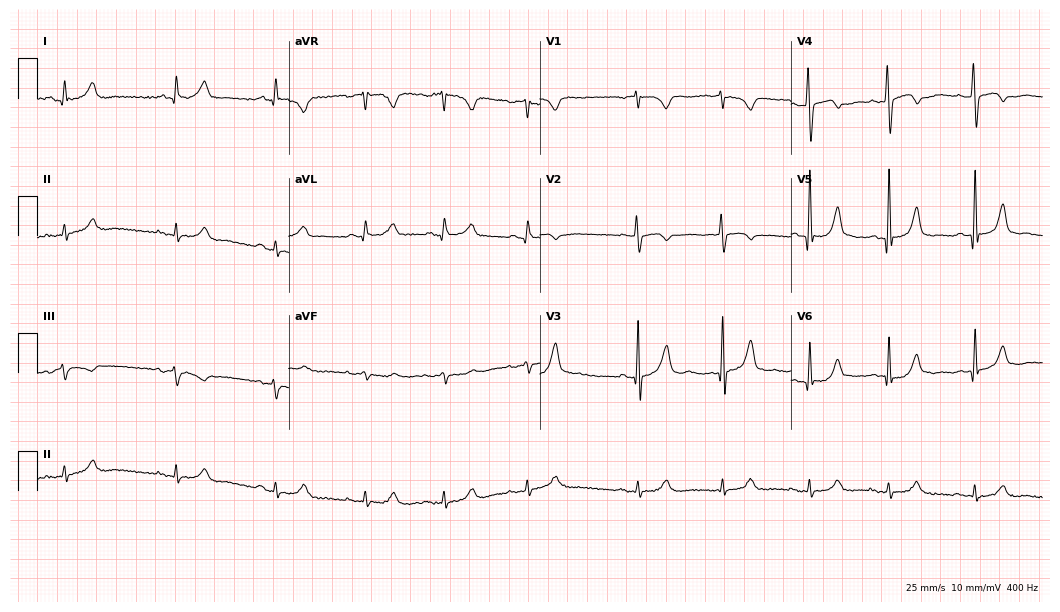
12-lead ECG from a 76-year-old male patient. Recorded interpretation: within normal limits.